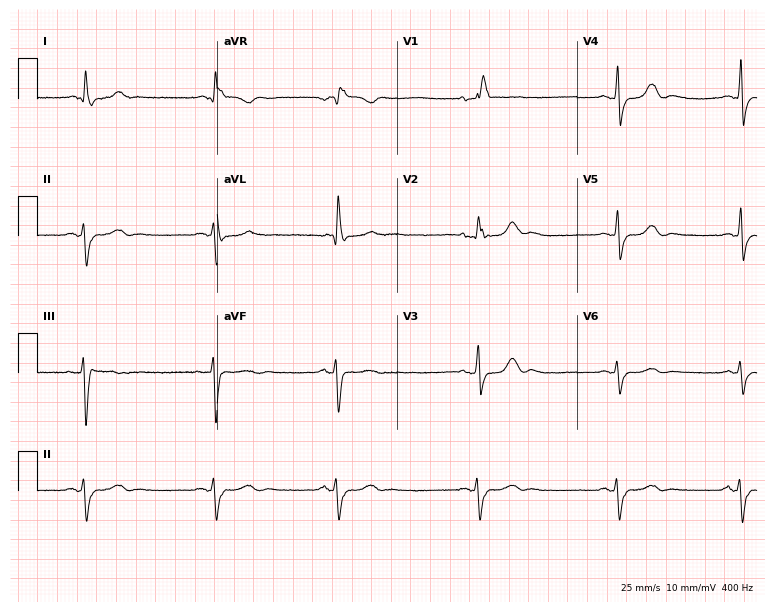
Standard 12-lead ECG recorded from a female patient, 59 years old. The tracing shows right bundle branch block, sinus bradycardia (a sinus rate of 50 beats per minute or less).